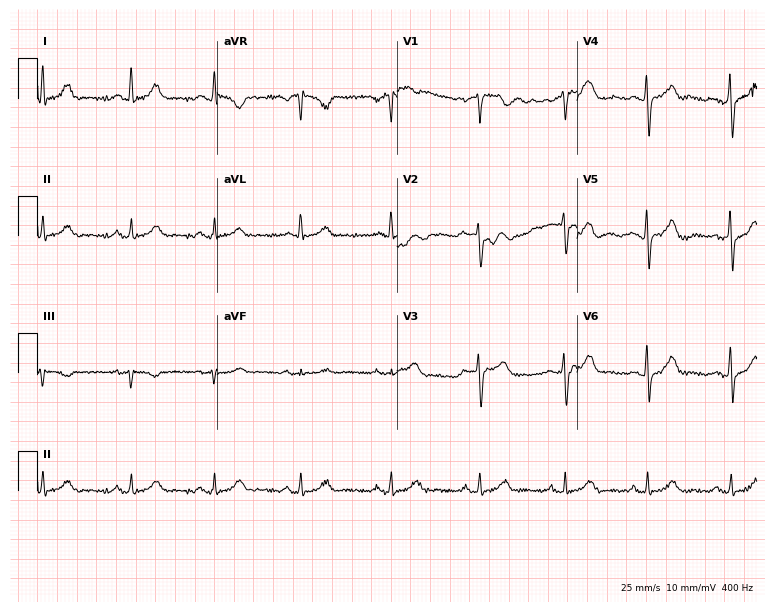
Resting 12-lead electrocardiogram. Patient: a female, 55 years old. None of these six findings is recorded: first-degree AV block, right bundle branch block, left bundle branch block, sinus bradycardia, atrial fibrillation, sinus tachycardia. Only these six findings were labelled.